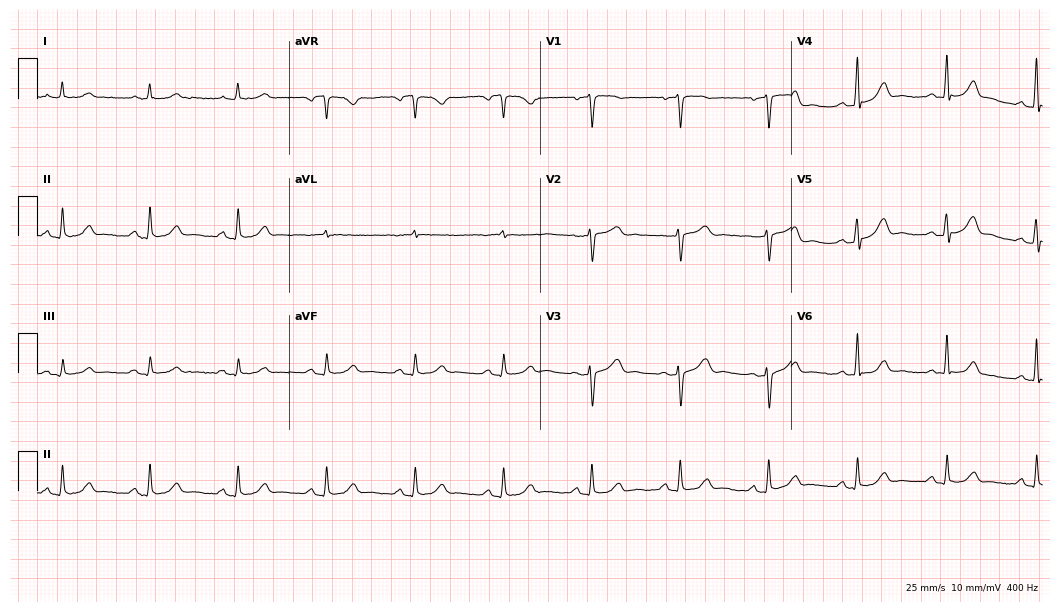
Resting 12-lead electrocardiogram (10.2-second recording at 400 Hz). Patient: a 54-year-old female. Read as a normal ECG.